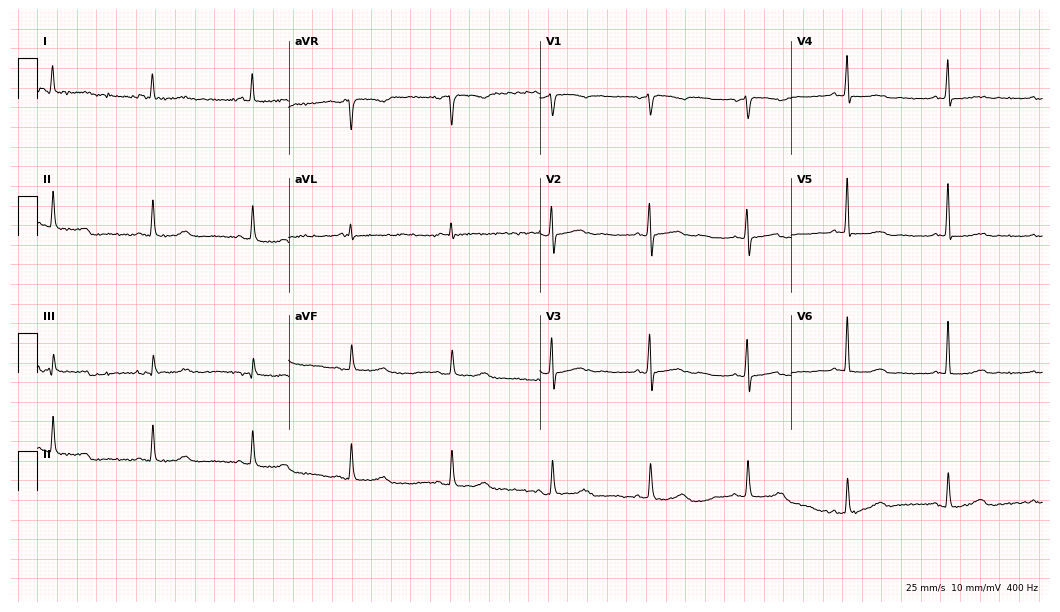
12-lead ECG from a female, 58 years old. Recorded interpretation: within normal limits.